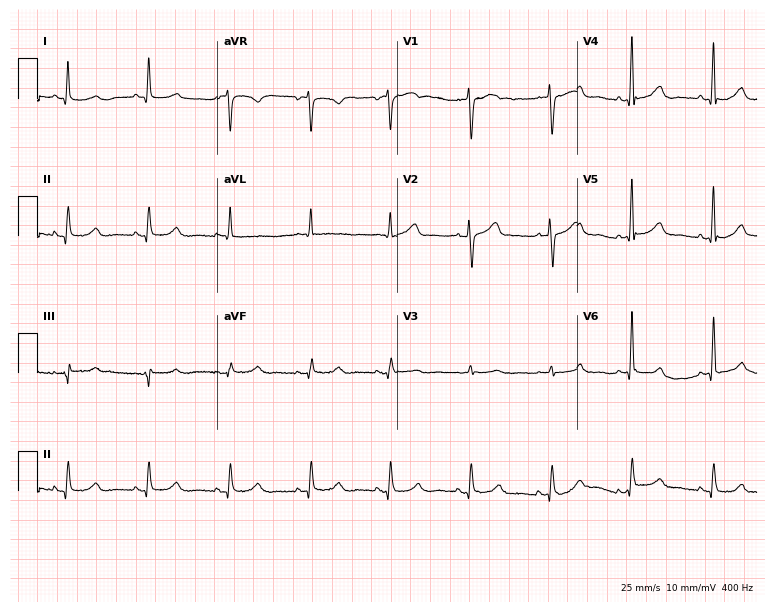
12-lead ECG from a 72-year-old female patient (7.3-second recording at 400 Hz). No first-degree AV block, right bundle branch block, left bundle branch block, sinus bradycardia, atrial fibrillation or sinus tachycardia recorded for this tracing. Other findings, if any, are not listed.